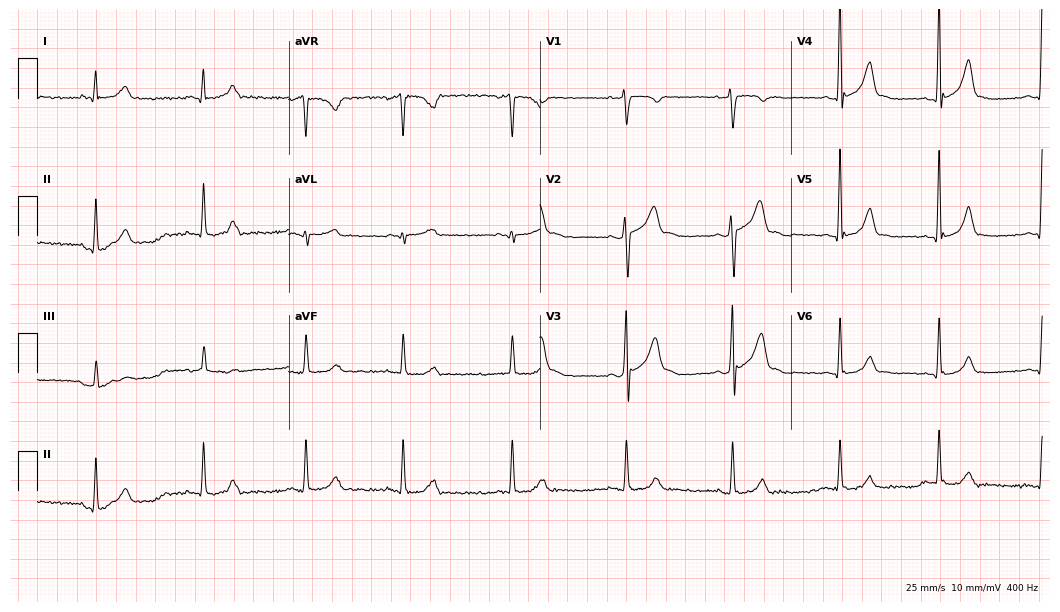
ECG (10.2-second recording at 400 Hz) — a man, 21 years old. Screened for six findings — first-degree AV block, right bundle branch block, left bundle branch block, sinus bradycardia, atrial fibrillation, sinus tachycardia — none is recorded. Other findings, if any, are not listed.